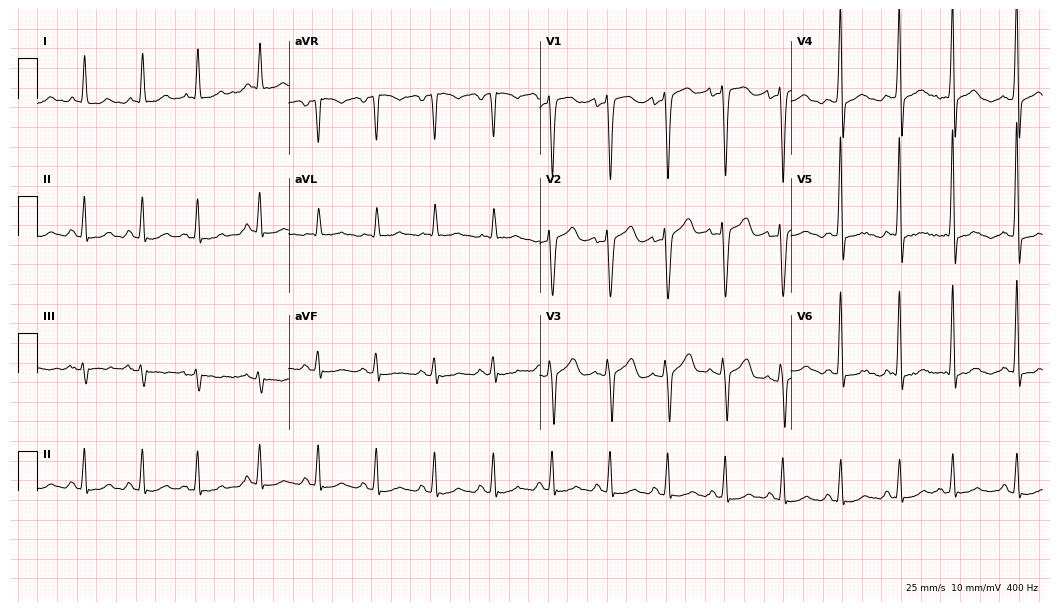
ECG — a man, 74 years old. Screened for six findings — first-degree AV block, right bundle branch block, left bundle branch block, sinus bradycardia, atrial fibrillation, sinus tachycardia — none is recorded. Findings outside these six are not listed.